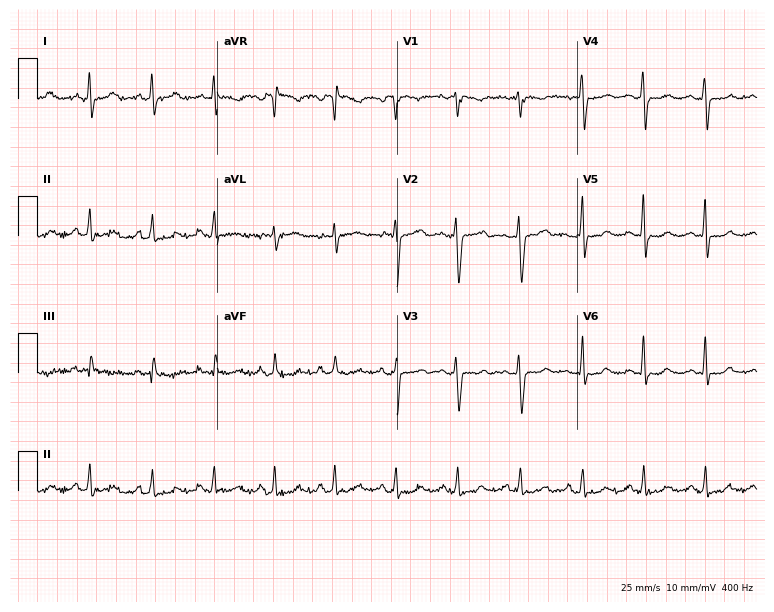
12-lead ECG from a 27-year-old female patient (7.3-second recording at 400 Hz). No first-degree AV block, right bundle branch block, left bundle branch block, sinus bradycardia, atrial fibrillation or sinus tachycardia recorded for this tracing.